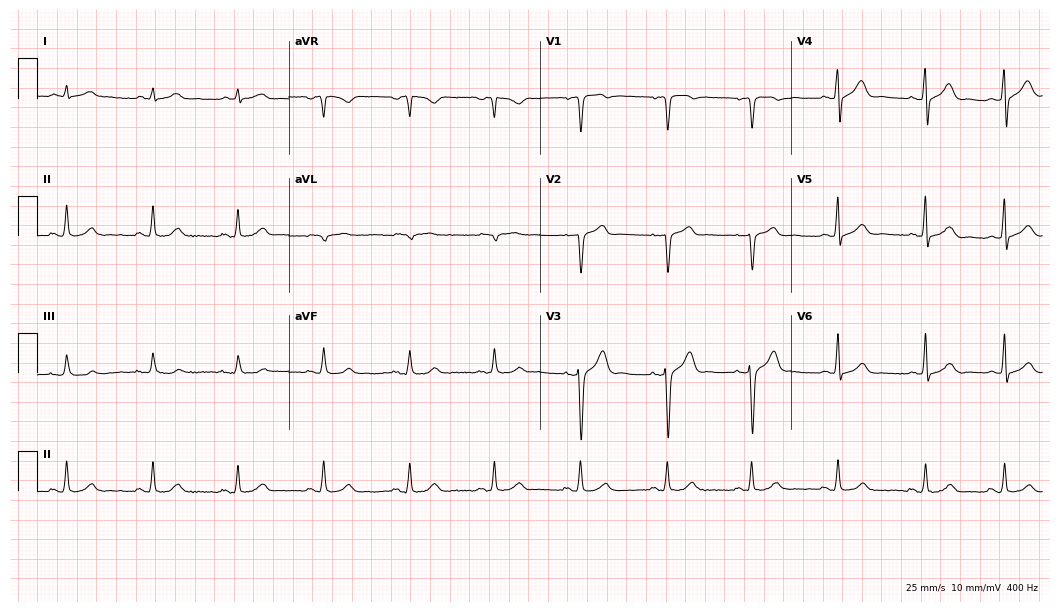
Resting 12-lead electrocardiogram. Patient: a 65-year-old male. Read as a normal ECG.